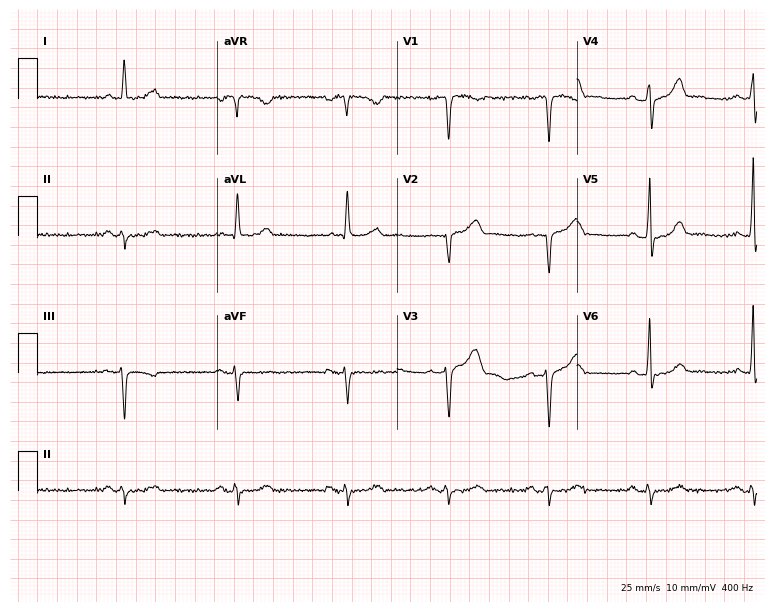
Resting 12-lead electrocardiogram (7.3-second recording at 400 Hz). Patient: a 78-year-old man. None of these six findings is recorded: first-degree AV block, right bundle branch block (RBBB), left bundle branch block (LBBB), sinus bradycardia, atrial fibrillation (AF), sinus tachycardia. Other findings, if any, are not listed.